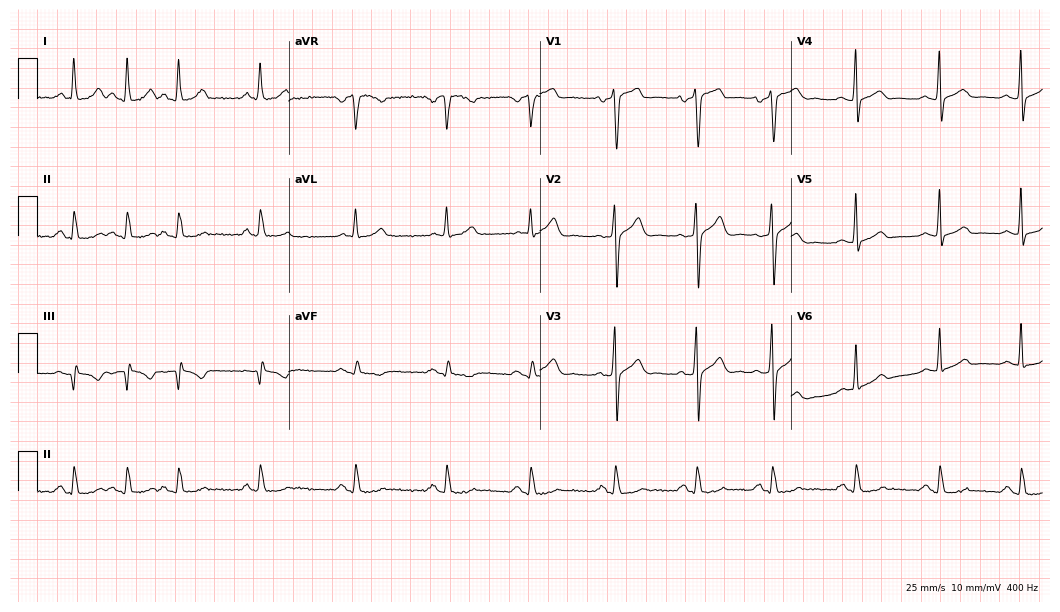
12-lead ECG from a man, 42 years old (10.2-second recording at 400 Hz). No first-degree AV block, right bundle branch block, left bundle branch block, sinus bradycardia, atrial fibrillation or sinus tachycardia recorded for this tracing. Findings outside these six are not listed.